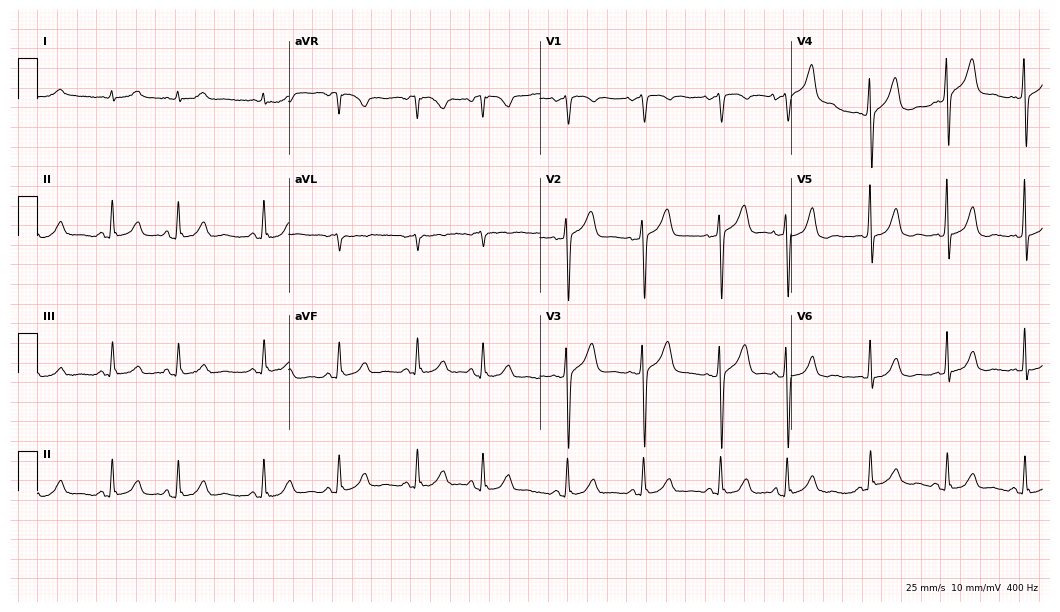
Resting 12-lead electrocardiogram (10.2-second recording at 400 Hz). Patient: an 81-year-old female. Read as a normal ECG.